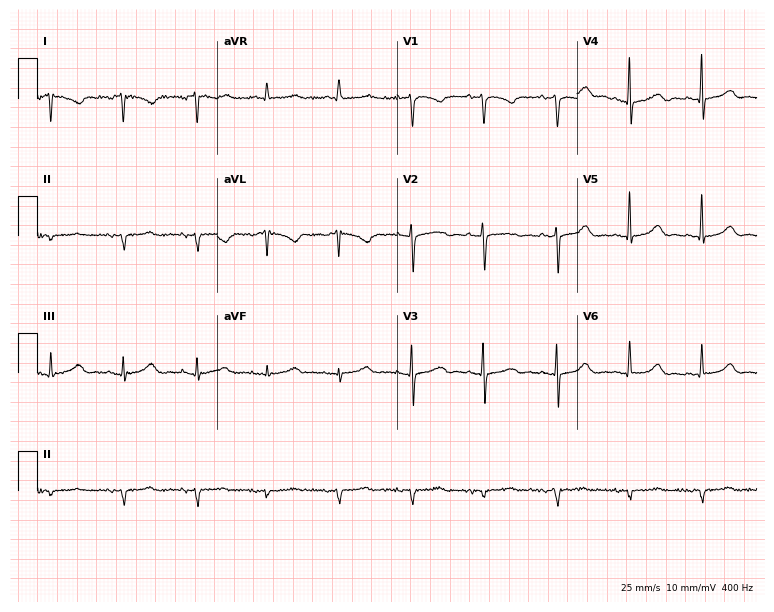
ECG — a female patient, 71 years old. Screened for six findings — first-degree AV block, right bundle branch block (RBBB), left bundle branch block (LBBB), sinus bradycardia, atrial fibrillation (AF), sinus tachycardia — none is recorded.